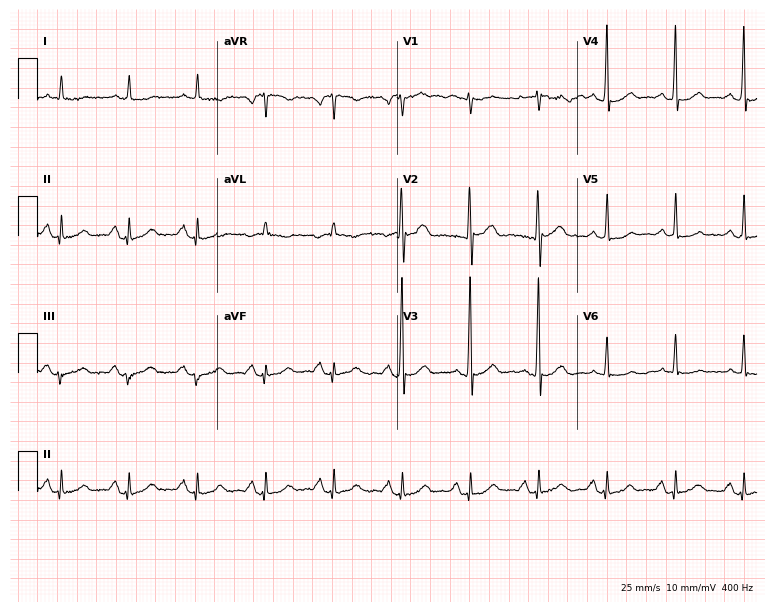
Resting 12-lead electrocardiogram (7.3-second recording at 400 Hz). Patient: a man, 71 years old. Read as a normal ECG.